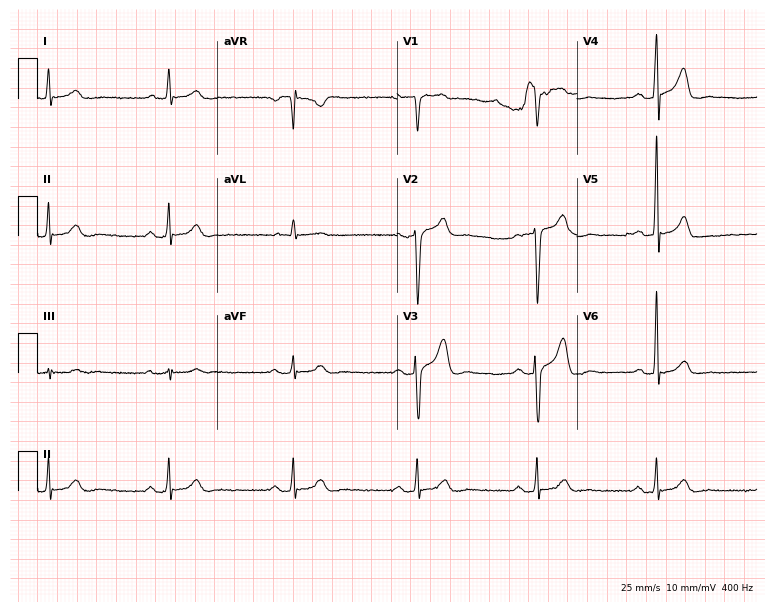
12-lead ECG from a 56-year-old male. Shows sinus bradycardia (a sinus rate of 50 beats per minute or less).